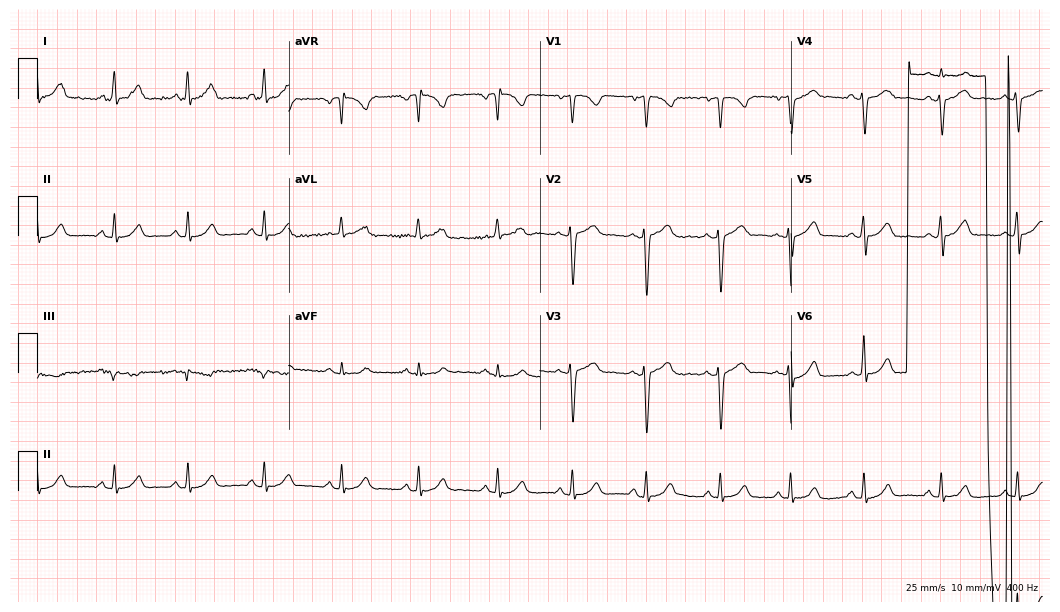
Electrocardiogram, a 22-year-old woman. Overall reading on record: normal ECG.